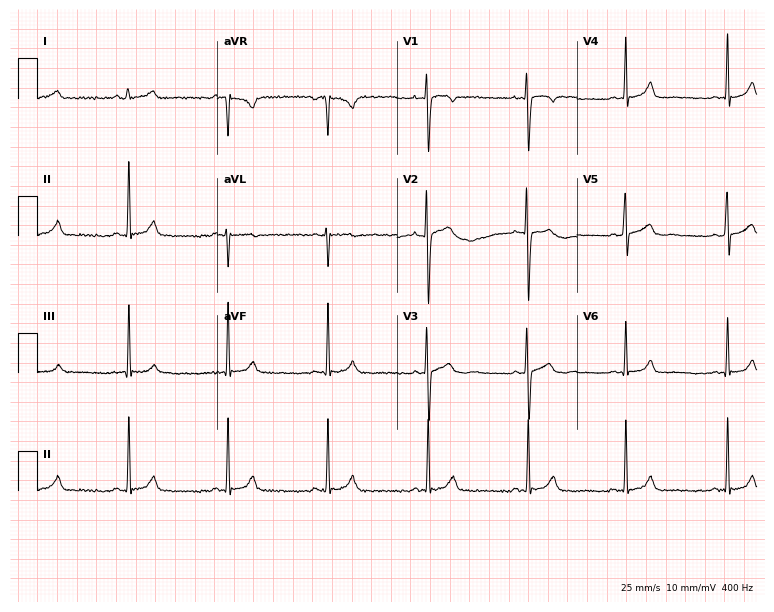
Resting 12-lead electrocardiogram. Patient: an 18-year-old female. Read as a normal ECG.